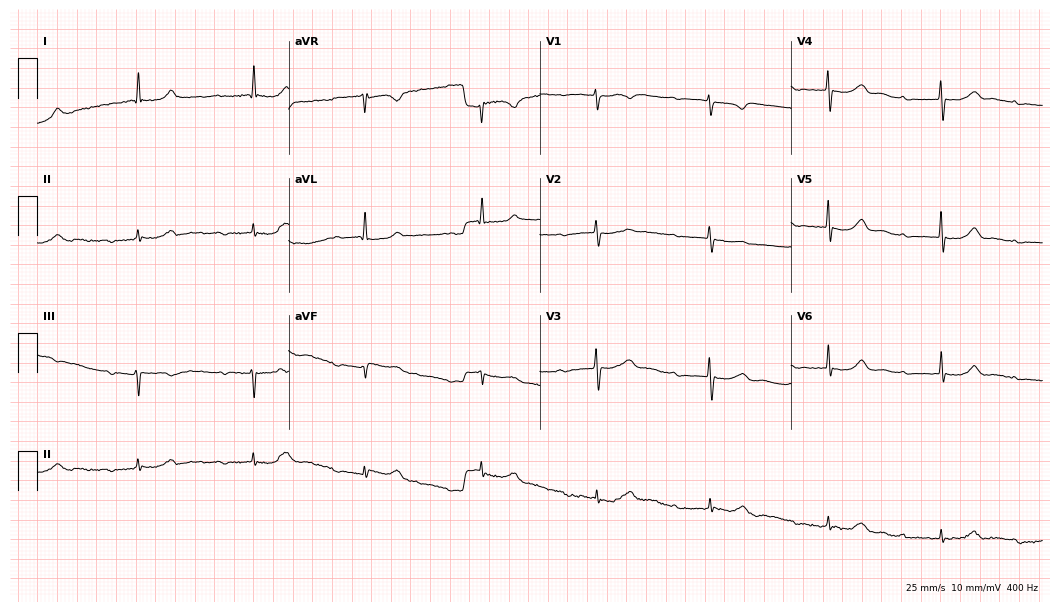
12-lead ECG from a female patient, 80 years old (10.2-second recording at 400 Hz). Recorded interpretation: within normal limits.